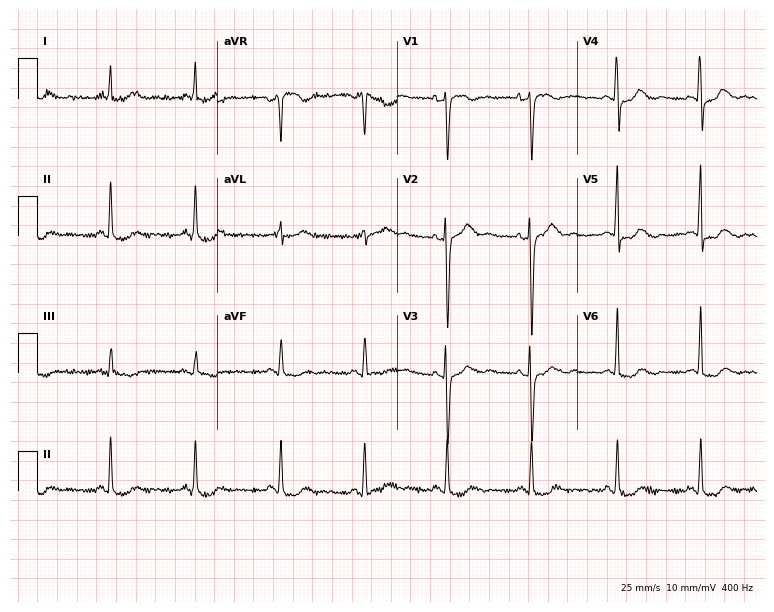
Electrocardiogram, a 24-year-old female patient. Overall reading on record: normal ECG.